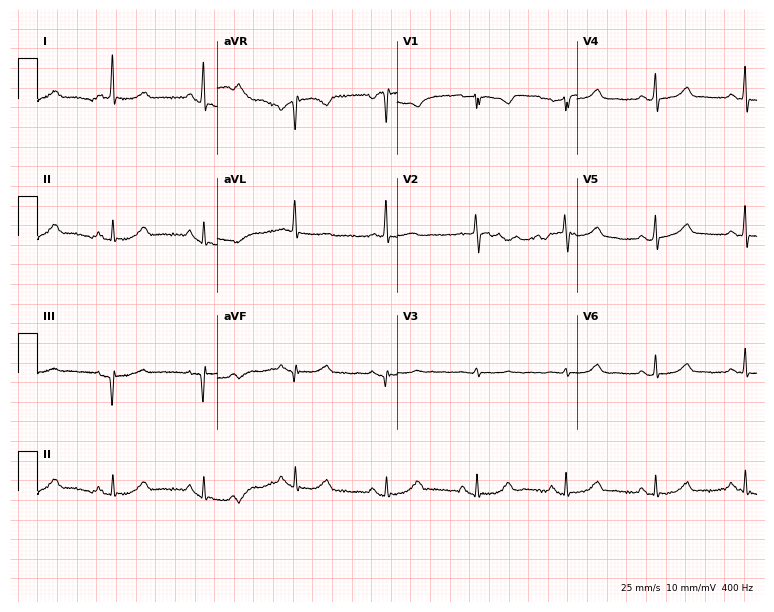
12-lead ECG from a 63-year-old woman. No first-degree AV block, right bundle branch block, left bundle branch block, sinus bradycardia, atrial fibrillation or sinus tachycardia recorded for this tracing.